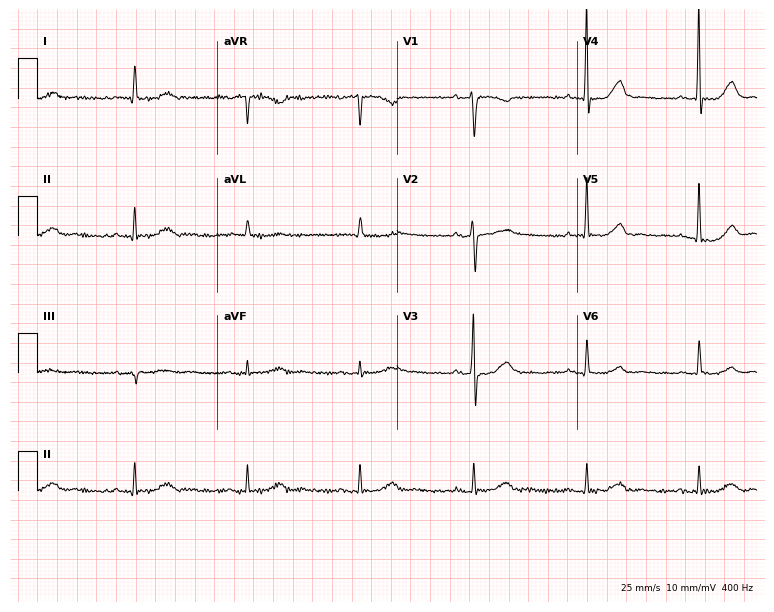
12-lead ECG (7.3-second recording at 400 Hz) from a female, 62 years old. Screened for six findings — first-degree AV block, right bundle branch block, left bundle branch block, sinus bradycardia, atrial fibrillation, sinus tachycardia — none is recorded. Findings outside these six are not listed.